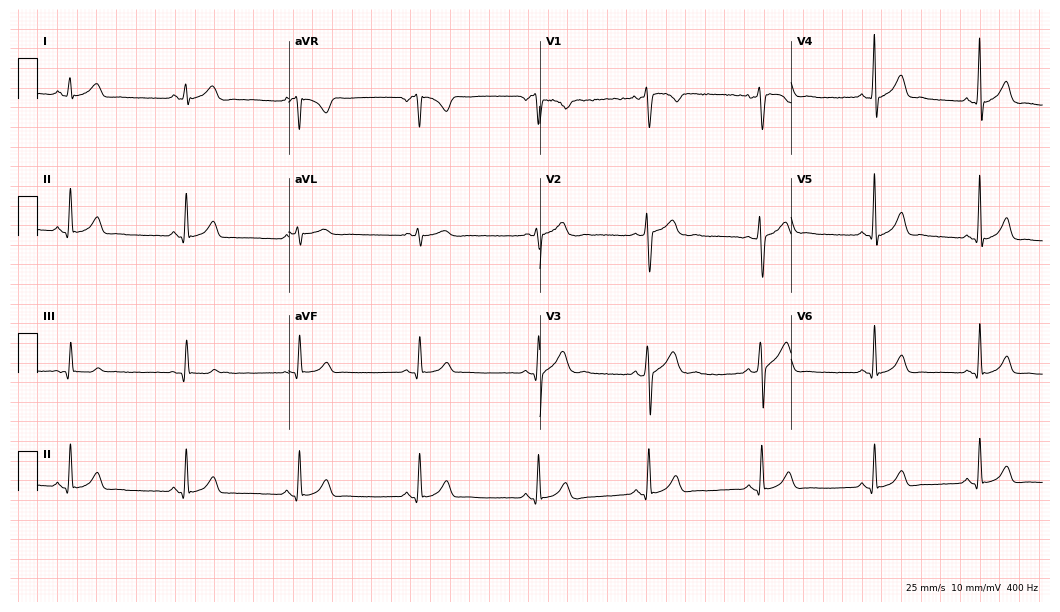
Electrocardiogram (10.2-second recording at 400 Hz), a 21-year-old man. Of the six screened findings (first-degree AV block, right bundle branch block, left bundle branch block, sinus bradycardia, atrial fibrillation, sinus tachycardia), none is recorded. Only these six findings were labelled.